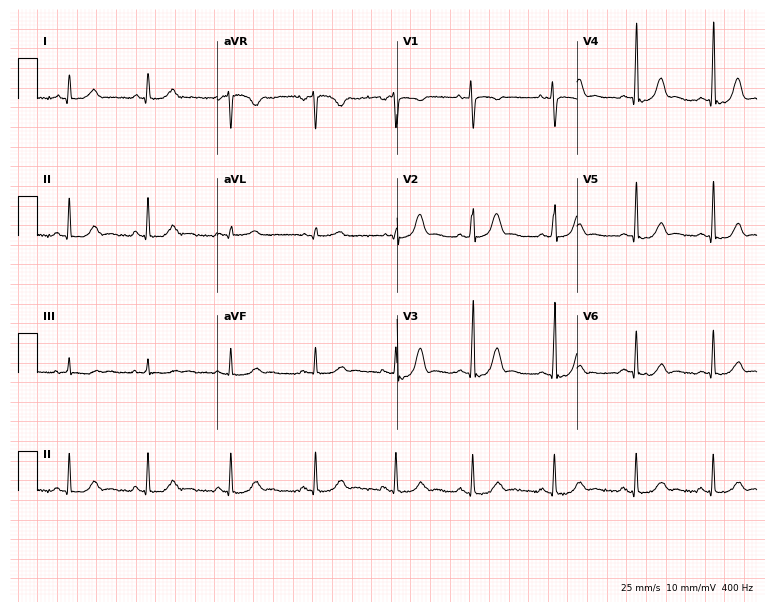
12-lead ECG (7.3-second recording at 400 Hz) from a woman, 30 years old. Screened for six findings — first-degree AV block, right bundle branch block (RBBB), left bundle branch block (LBBB), sinus bradycardia, atrial fibrillation (AF), sinus tachycardia — none is recorded.